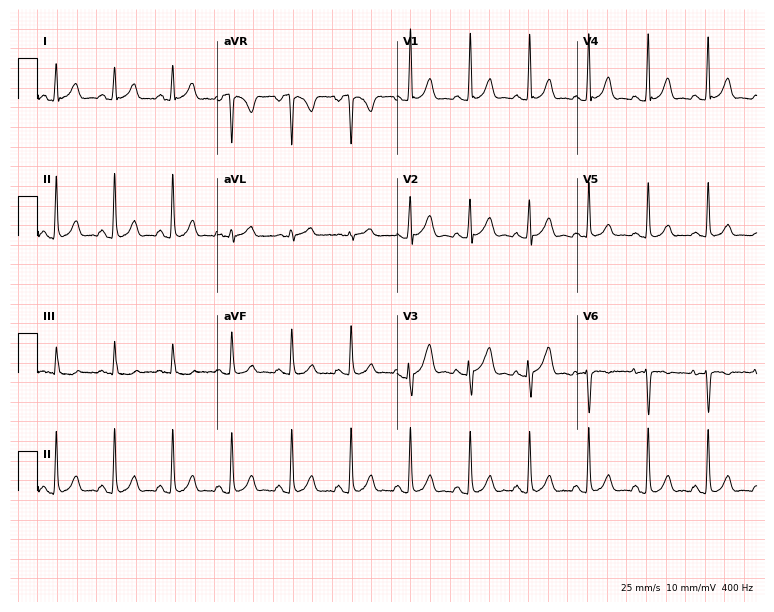
12-lead ECG (7.3-second recording at 400 Hz) from a woman, 19 years old. Screened for six findings — first-degree AV block, right bundle branch block, left bundle branch block, sinus bradycardia, atrial fibrillation, sinus tachycardia — none is recorded.